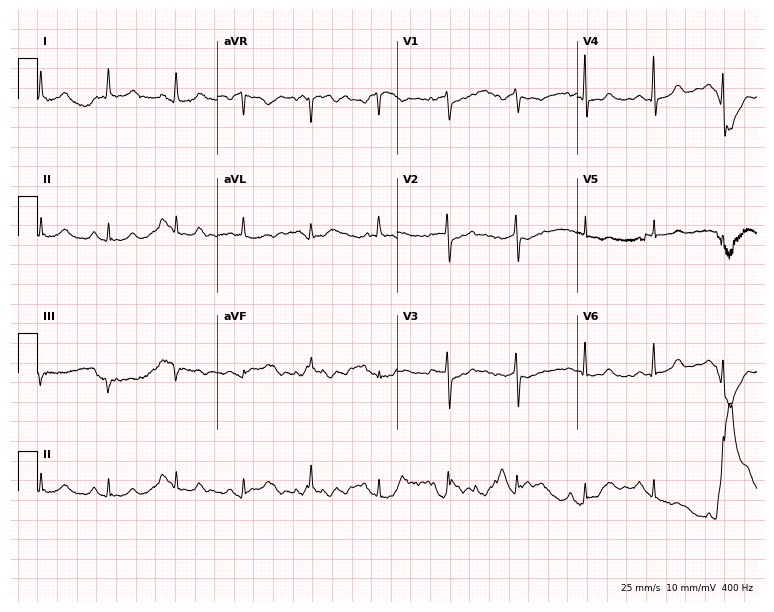
12-lead ECG from a 69-year-old woman (7.3-second recording at 400 Hz). Recorded interpretation: within normal limits.